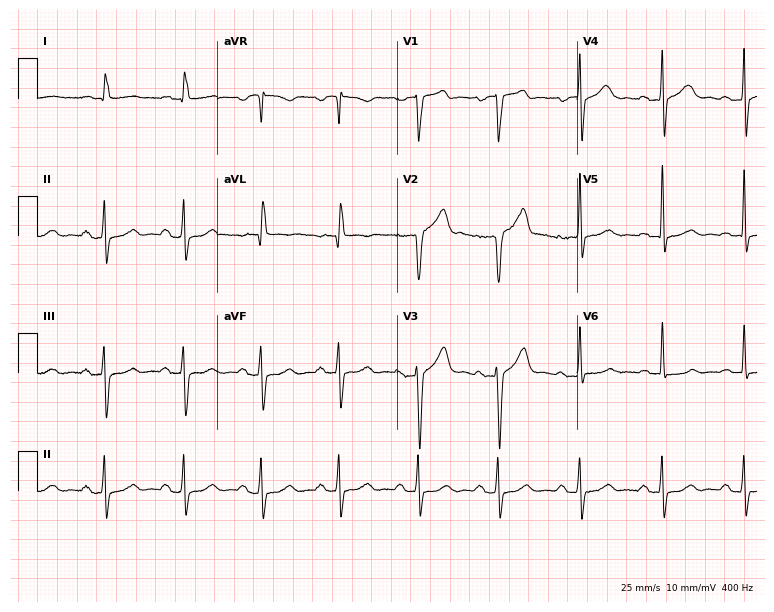
Electrocardiogram, a man, 72 years old. Of the six screened findings (first-degree AV block, right bundle branch block, left bundle branch block, sinus bradycardia, atrial fibrillation, sinus tachycardia), none is recorded. Only these six findings were labelled.